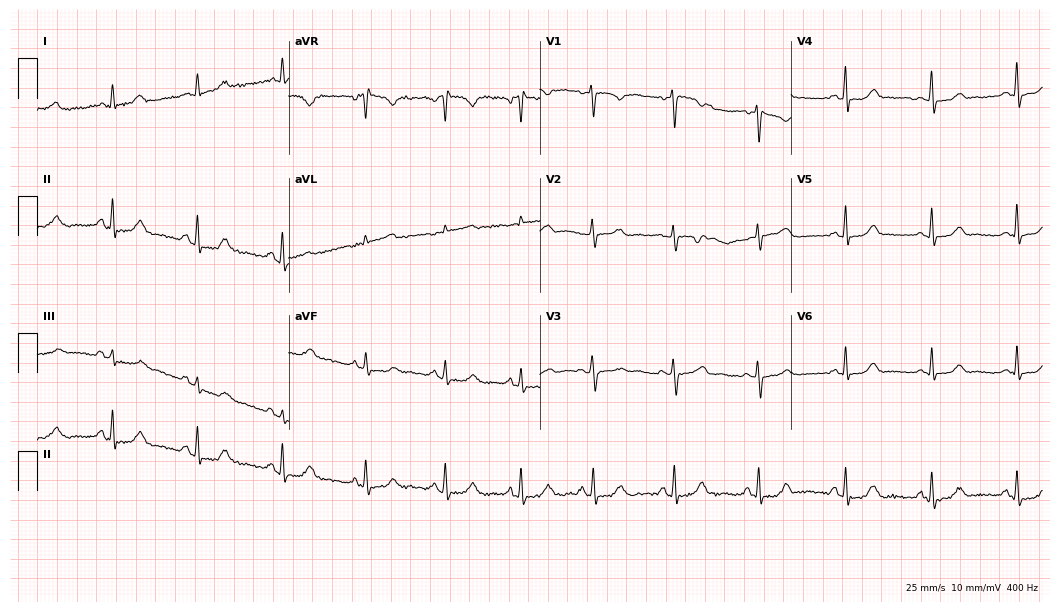
ECG — a female, 35 years old. Labelled as a normal ECG.